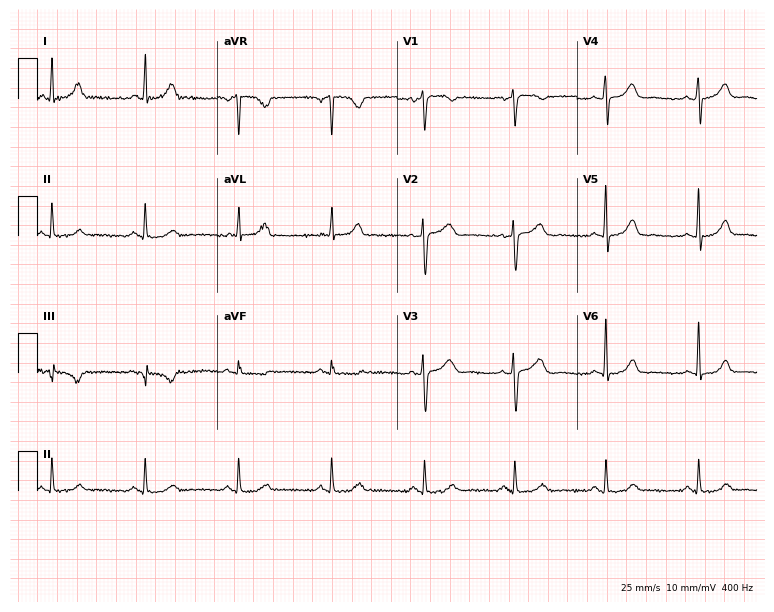
Resting 12-lead electrocardiogram (7.3-second recording at 400 Hz). Patient: a 51-year-old female. None of these six findings is recorded: first-degree AV block, right bundle branch block (RBBB), left bundle branch block (LBBB), sinus bradycardia, atrial fibrillation (AF), sinus tachycardia. Other findings, if any, are not listed.